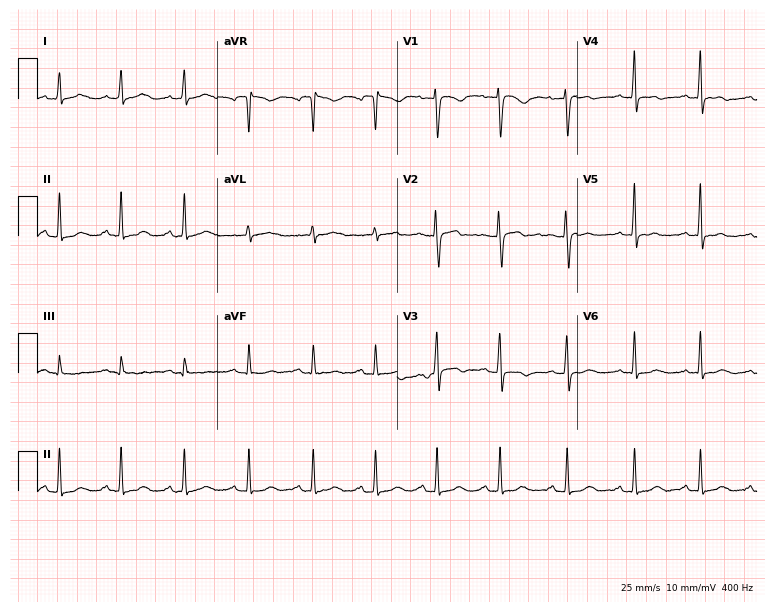
12-lead ECG from a 45-year-old woman. Recorded interpretation: within normal limits.